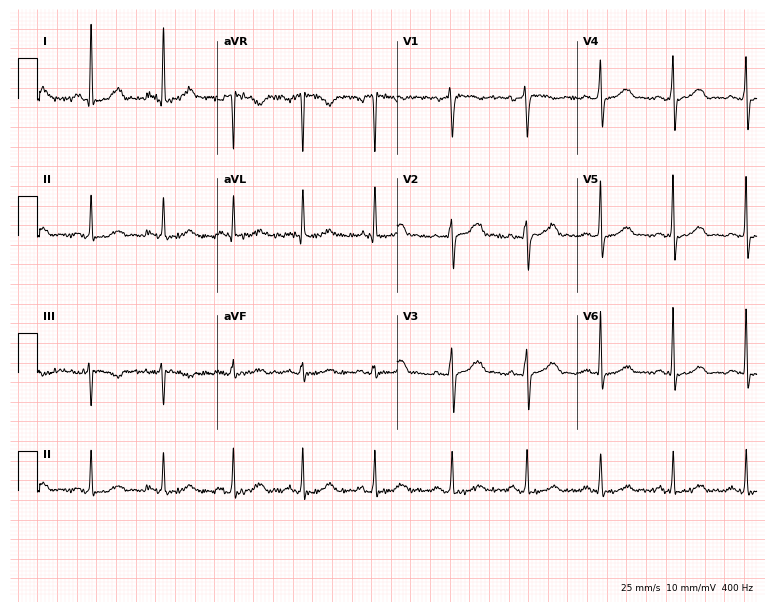
Electrocardiogram (7.3-second recording at 400 Hz), a 68-year-old male patient. Overall reading on record: normal ECG.